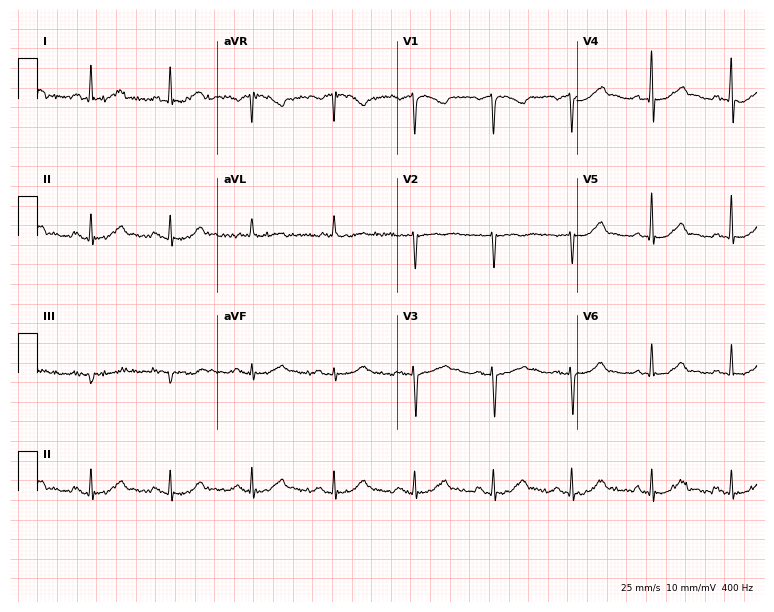
ECG — a 66-year-old female. Labelled as a normal ECG.